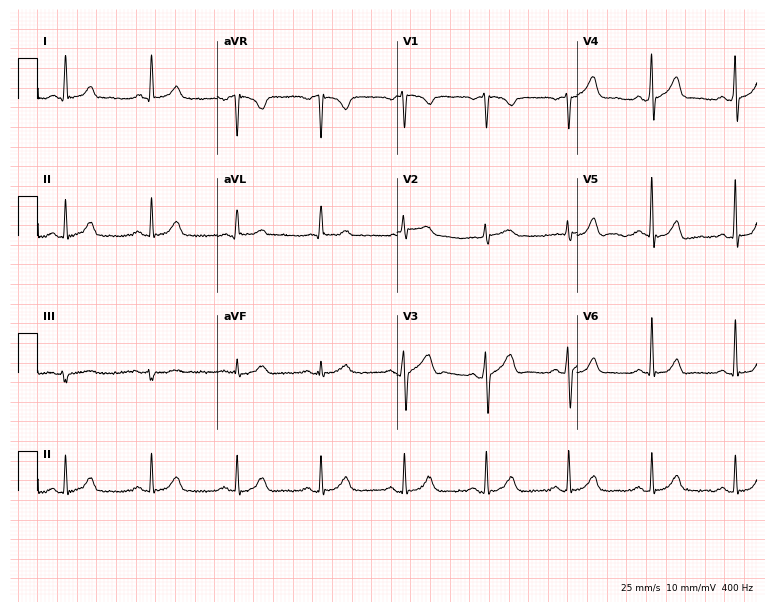
Resting 12-lead electrocardiogram (7.3-second recording at 400 Hz). Patient: a male, 56 years old. Read as a normal ECG.